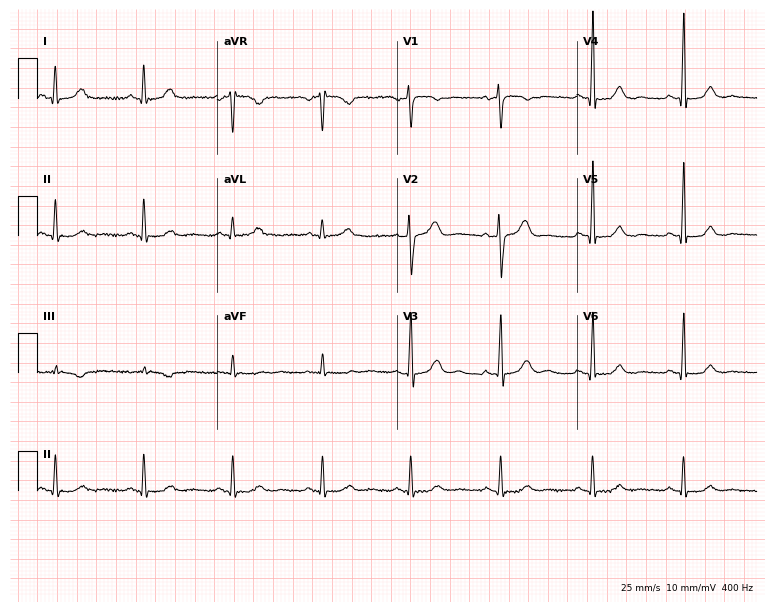
ECG — a woman, 62 years old. Screened for six findings — first-degree AV block, right bundle branch block (RBBB), left bundle branch block (LBBB), sinus bradycardia, atrial fibrillation (AF), sinus tachycardia — none is recorded.